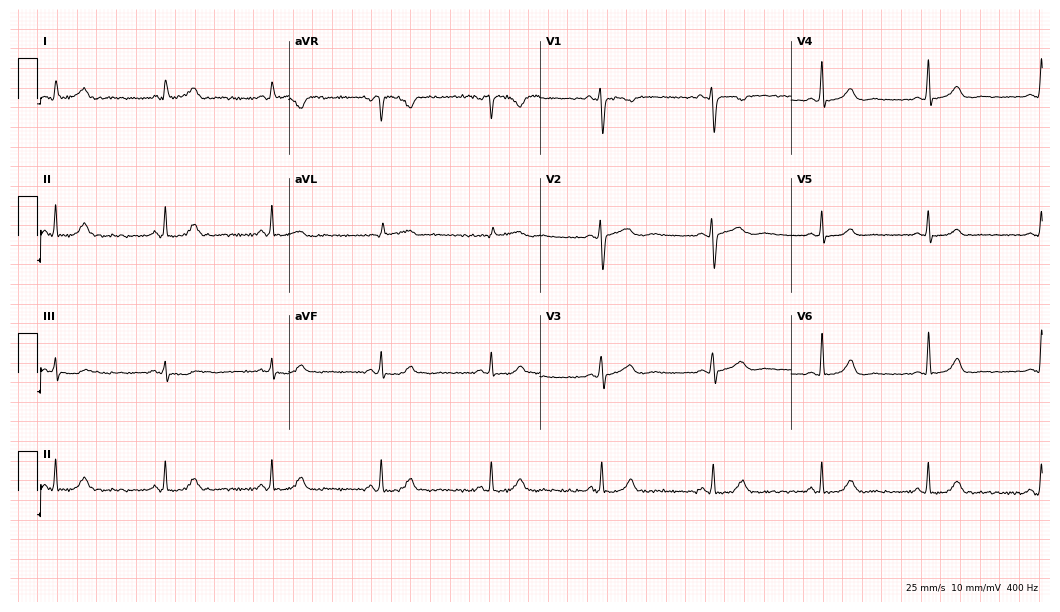
12-lead ECG (10.2-second recording at 400 Hz) from a 36-year-old female. Labelled as a normal ECG.